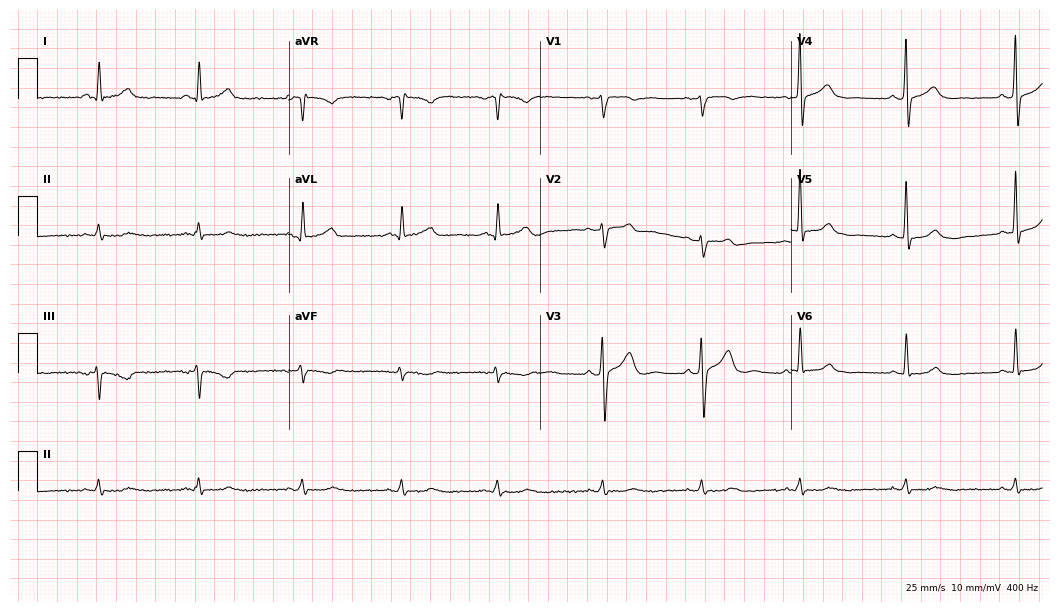
12-lead ECG from a male patient, 57 years old (10.2-second recording at 400 Hz). No first-degree AV block, right bundle branch block, left bundle branch block, sinus bradycardia, atrial fibrillation or sinus tachycardia recorded for this tracing.